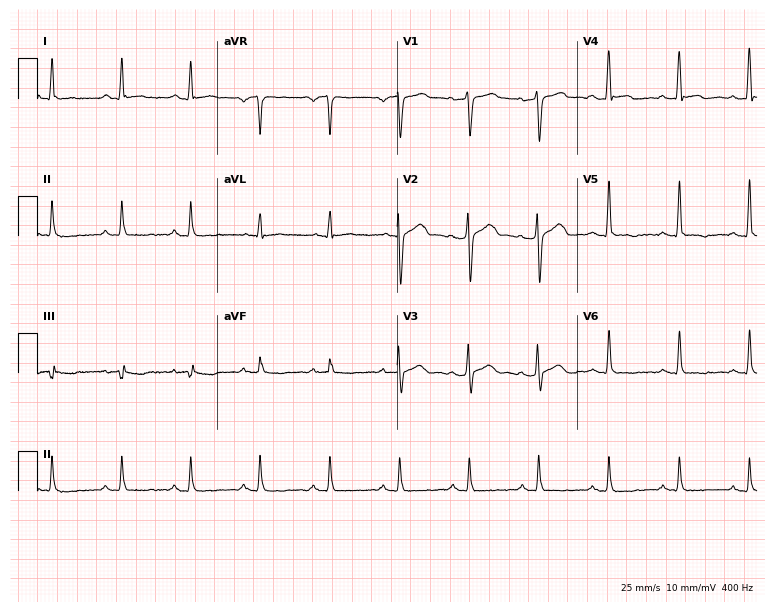
Electrocardiogram, a 55-year-old male. Of the six screened findings (first-degree AV block, right bundle branch block (RBBB), left bundle branch block (LBBB), sinus bradycardia, atrial fibrillation (AF), sinus tachycardia), none is recorded.